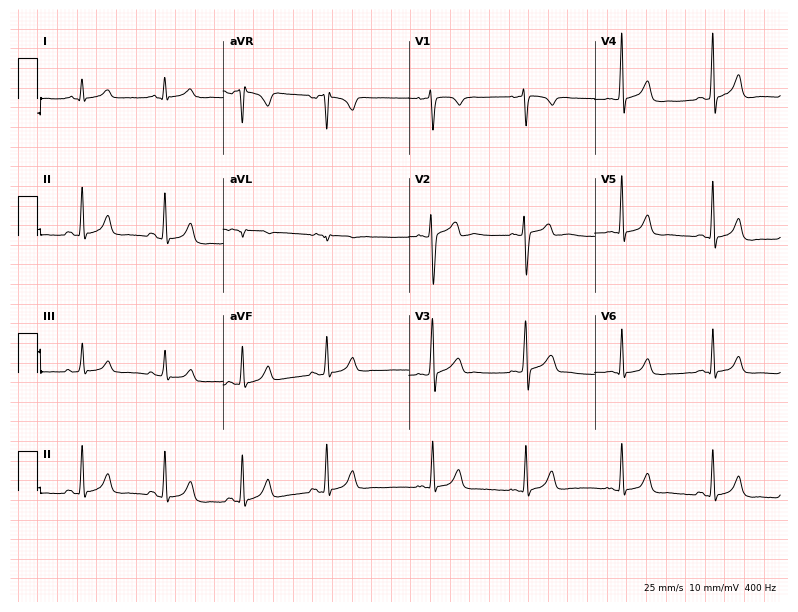
Electrocardiogram, a 24-year-old man. Overall reading on record: normal ECG.